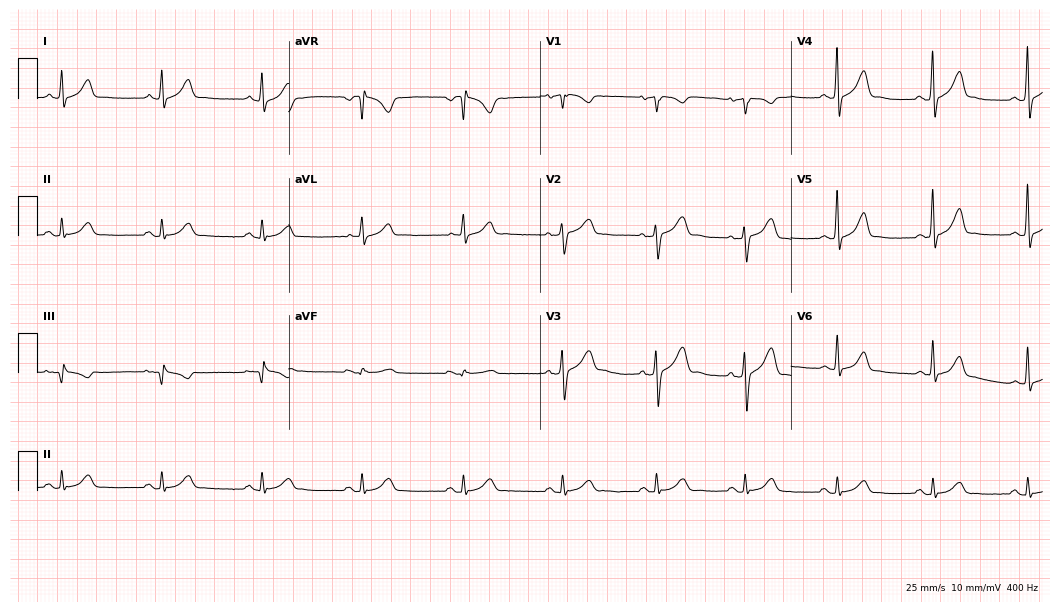
12-lead ECG from a 47-year-old male patient. Recorded interpretation: within normal limits.